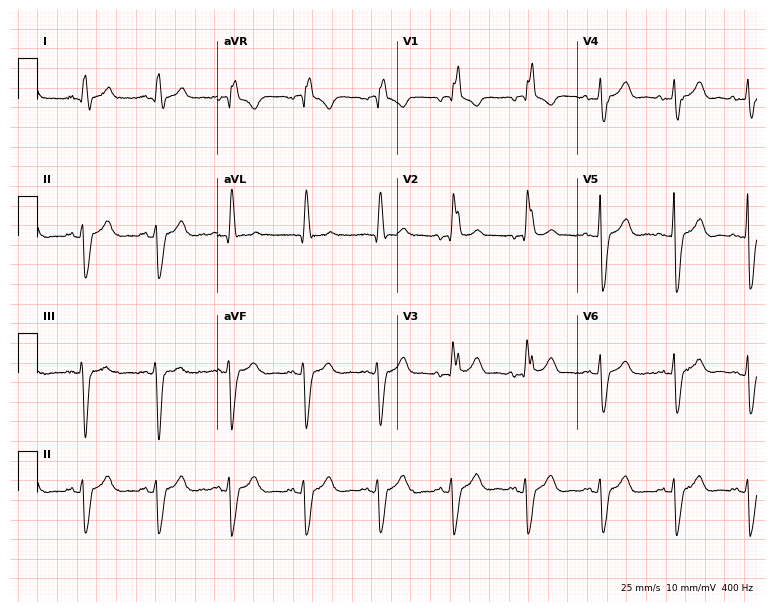
12-lead ECG from an 82-year-old male (7.3-second recording at 400 Hz). Shows right bundle branch block.